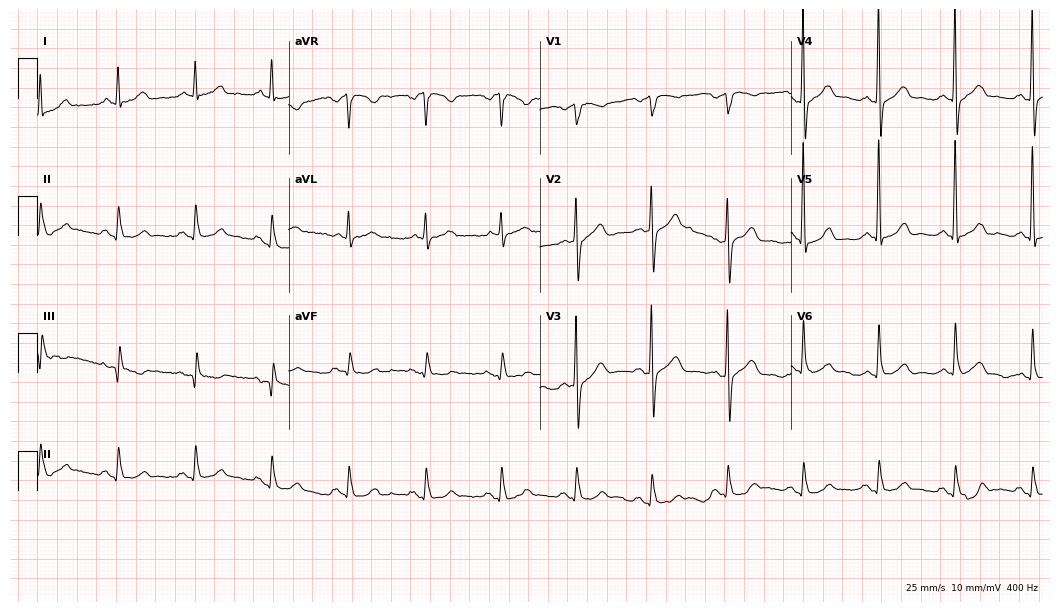
Standard 12-lead ECG recorded from a 75-year-old male (10.2-second recording at 400 Hz). None of these six findings is recorded: first-degree AV block, right bundle branch block (RBBB), left bundle branch block (LBBB), sinus bradycardia, atrial fibrillation (AF), sinus tachycardia. Only these six findings were labelled.